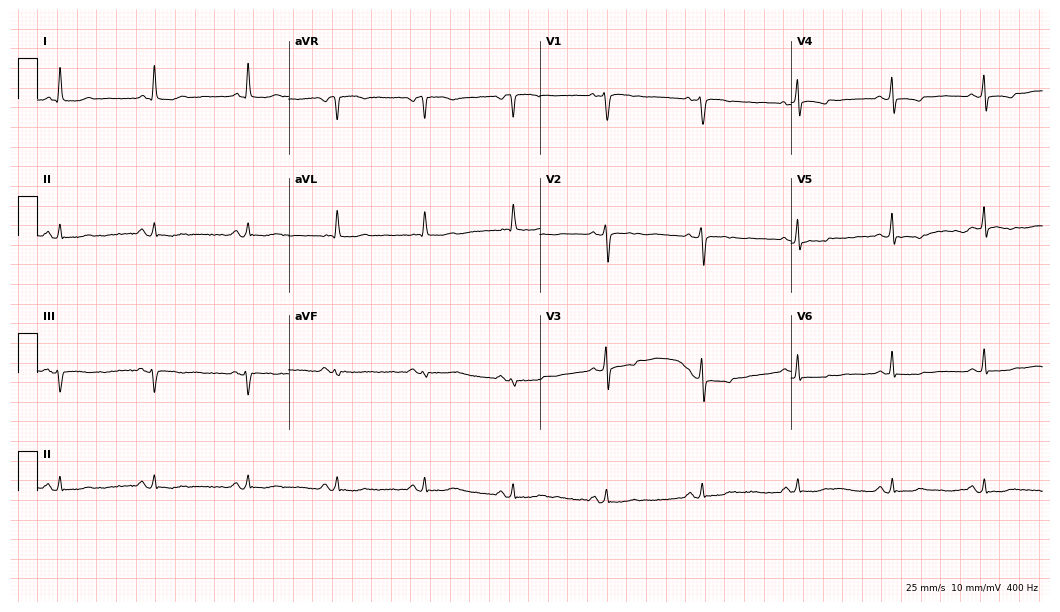
Electrocardiogram, a 67-year-old female. Of the six screened findings (first-degree AV block, right bundle branch block, left bundle branch block, sinus bradycardia, atrial fibrillation, sinus tachycardia), none is recorded.